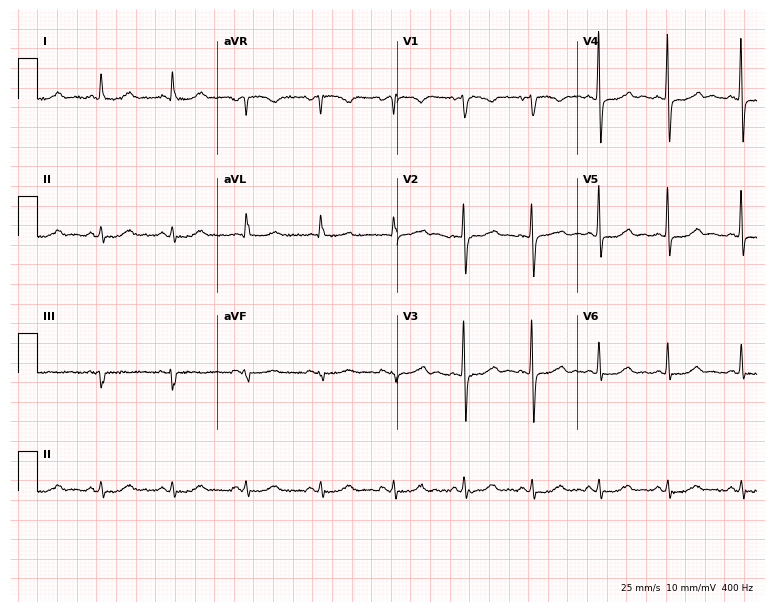
Electrocardiogram (7.3-second recording at 400 Hz), a woman, 59 years old. Of the six screened findings (first-degree AV block, right bundle branch block (RBBB), left bundle branch block (LBBB), sinus bradycardia, atrial fibrillation (AF), sinus tachycardia), none is recorded. Findings outside these six are not listed.